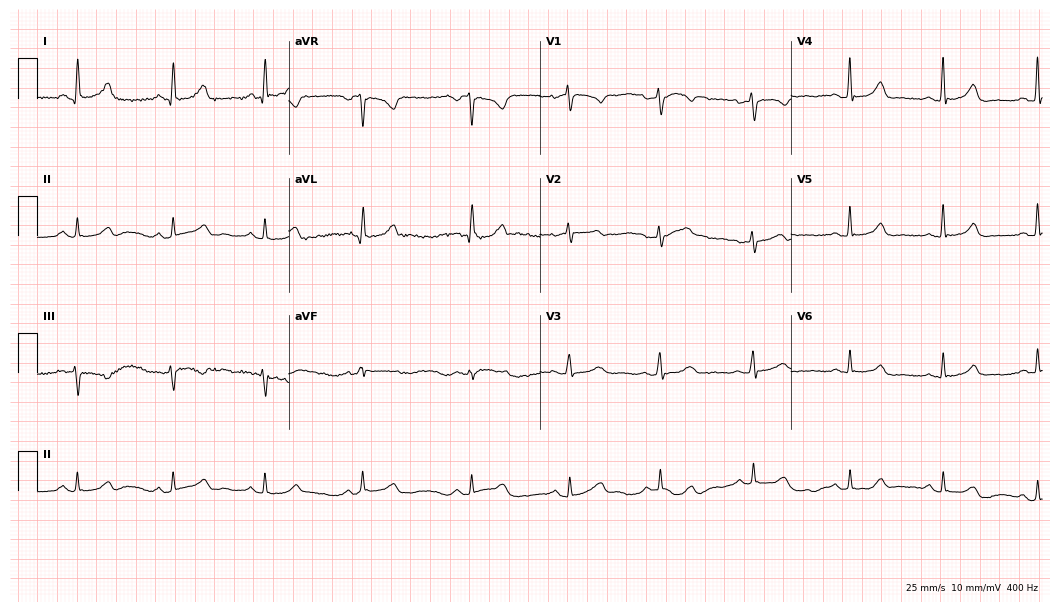
Electrocardiogram (10.2-second recording at 400 Hz), a 51-year-old female patient. Overall reading on record: normal ECG.